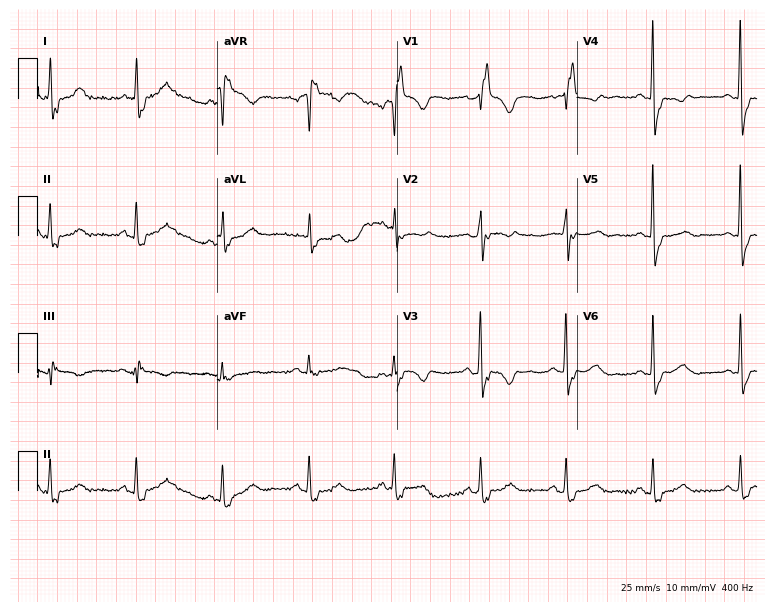
Electrocardiogram (7.3-second recording at 400 Hz), a female, 61 years old. Interpretation includes right bundle branch block.